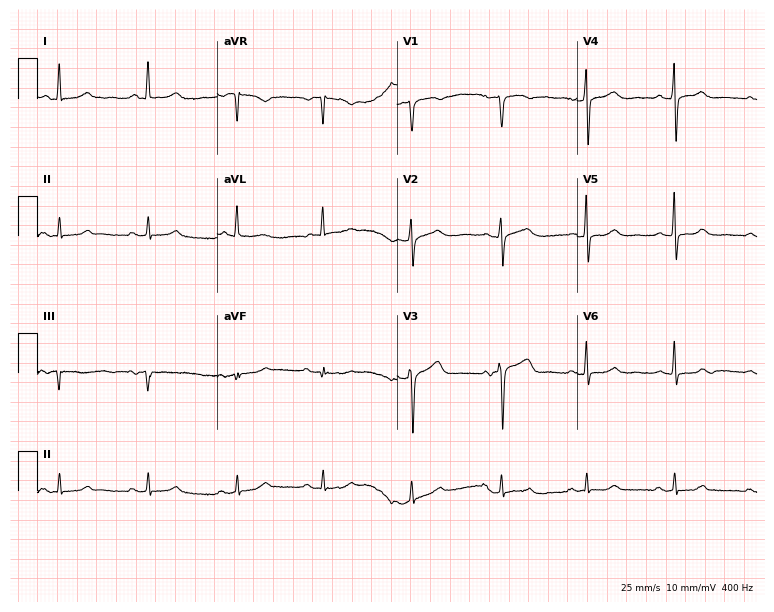
12-lead ECG from a female patient, 70 years old. No first-degree AV block, right bundle branch block, left bundle branch block, sinus bradycardia, atrial fibrillation or sinus tachycardia recorded for this tracing.